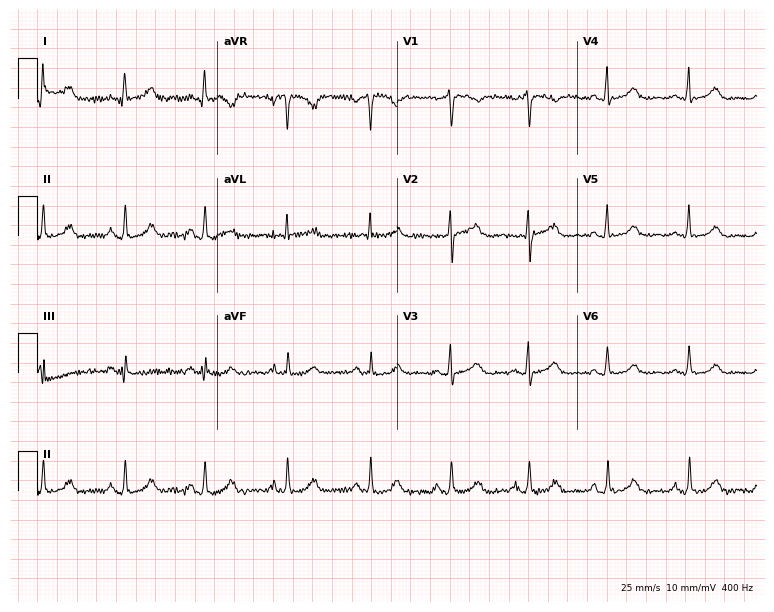
ECG (7.3-second recording at 400 Hz) — a 51-year-old female patient. Screened for six findings — first-degree AV block, right bundle branch block, left bundle branch block, sinus bradycardia, atrial fibrillation, sinus tachycardia — none is recorded.